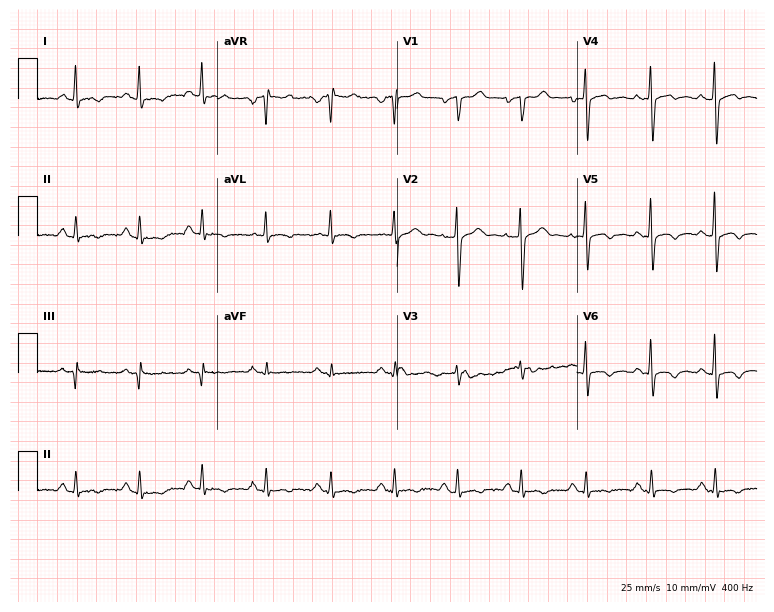
12-lead ECG from a man, 55 years old. Screened for six findings — first-degree AV block, right bundle branch block (RBBB), left bundle branch block (LBBB), sinus bradycardia, atrial fibrillation (AF), sinus tachycardia — none is recorded. Other findings, if any, are not listed.